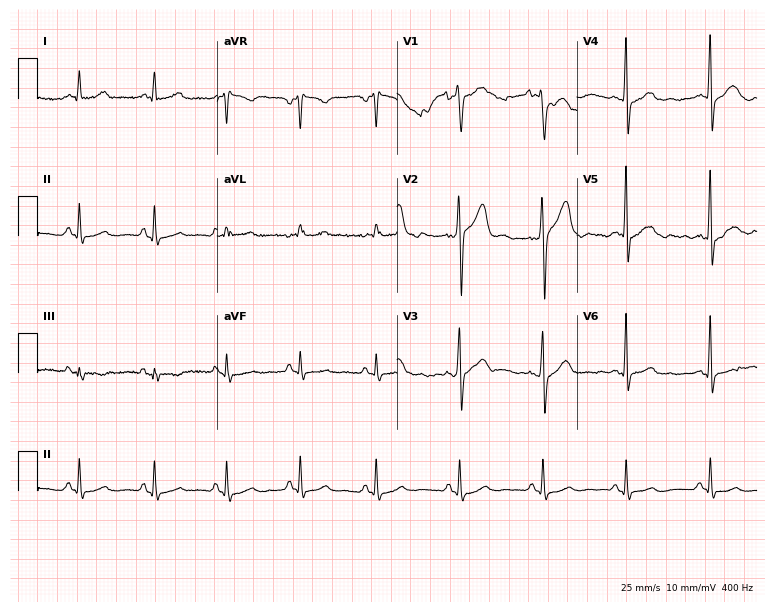
ECG — a 48-year-old male patient. Labelled as a normal ECG.